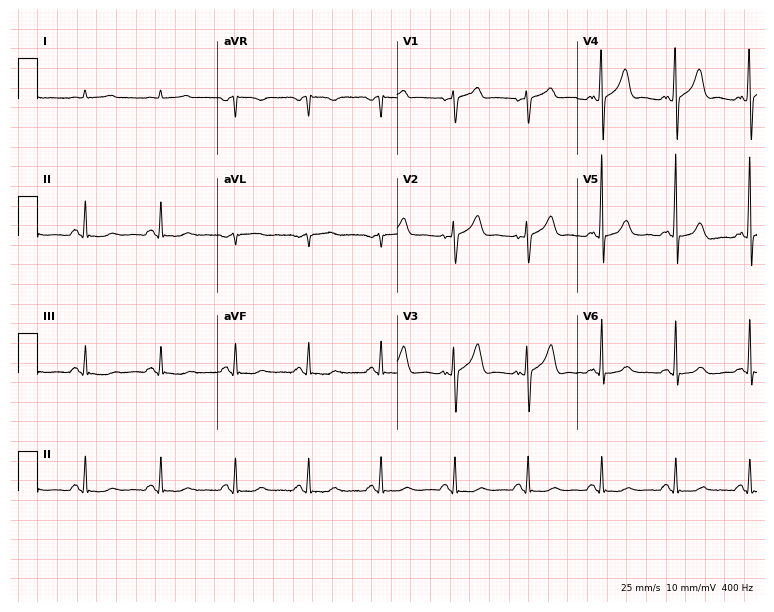
ECG (7.3-second recording at 400 Hz) — a man, 58 years old. Screened for six findings — first-degree AV block, right bundle branch block, left bundle branch block, sinus bradycardia, atrial fibrillation, sinus tachycardia — none is recorded.